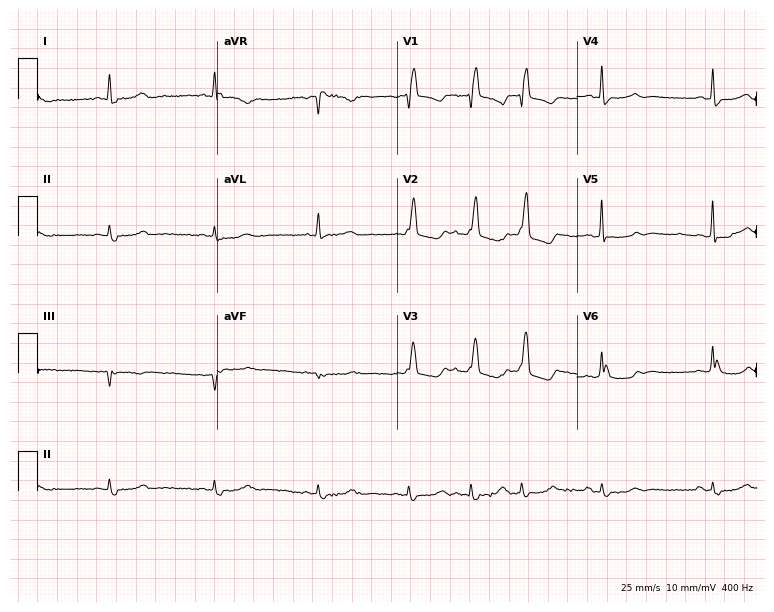
12-lead ECG from an 83-year-old female patient. Shows right bundle branch block.